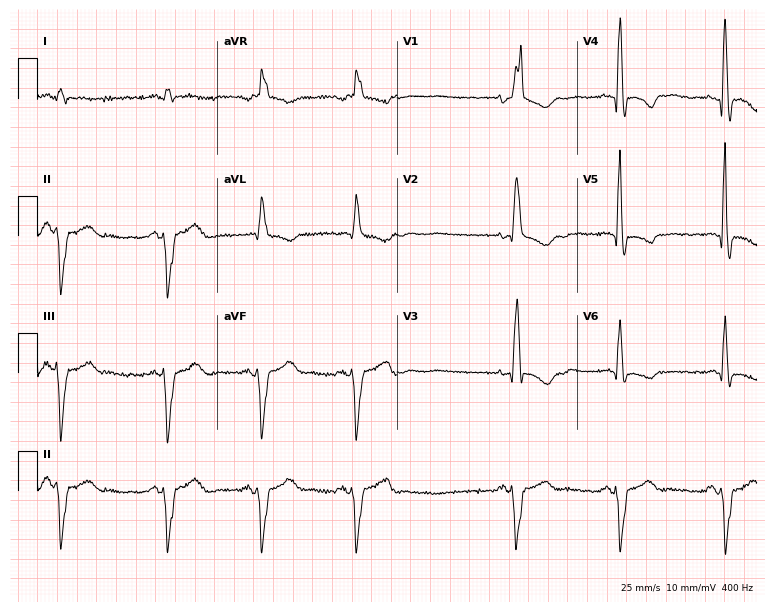
Electrocardiogram, a man, 77 years old. Interpretation includes right bundle branch block.